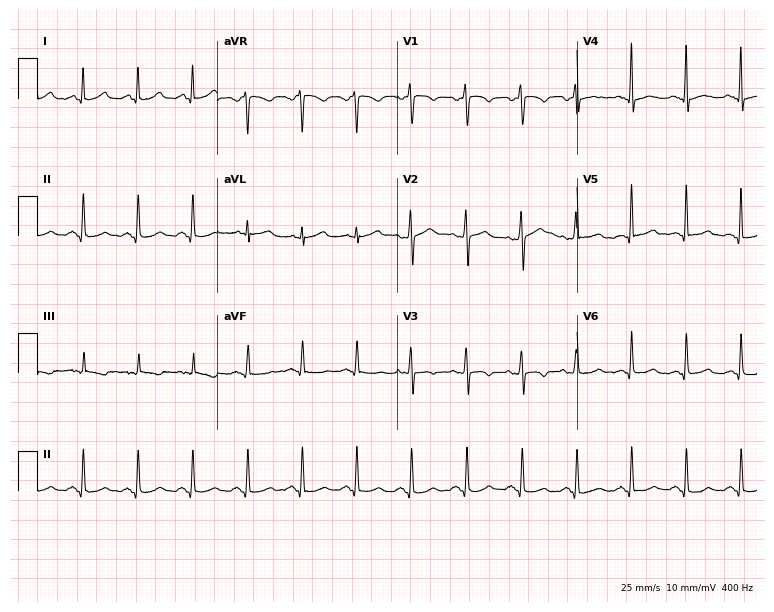
Electrocardiogram (7.3-second recording at 400 Hz), a female patient, 48 years old. Interpretation includes sinus tachycardia (a sinus rate of 100 beats per minute or more).